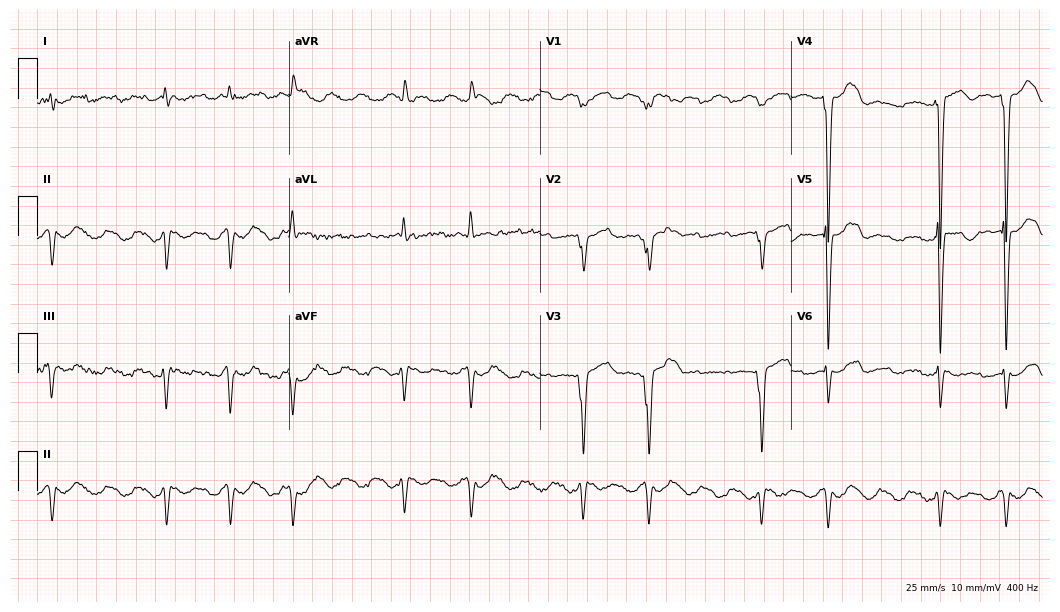
12-lead ECG from a 53-year-old male patient. Screened for six findings — first-degree AV block, right bundle branch block (RBBB), left bundle branch block (LBBB), sinus bradycardia, atrial fibrillation (AF), sinus tachycardia — none is recorded.